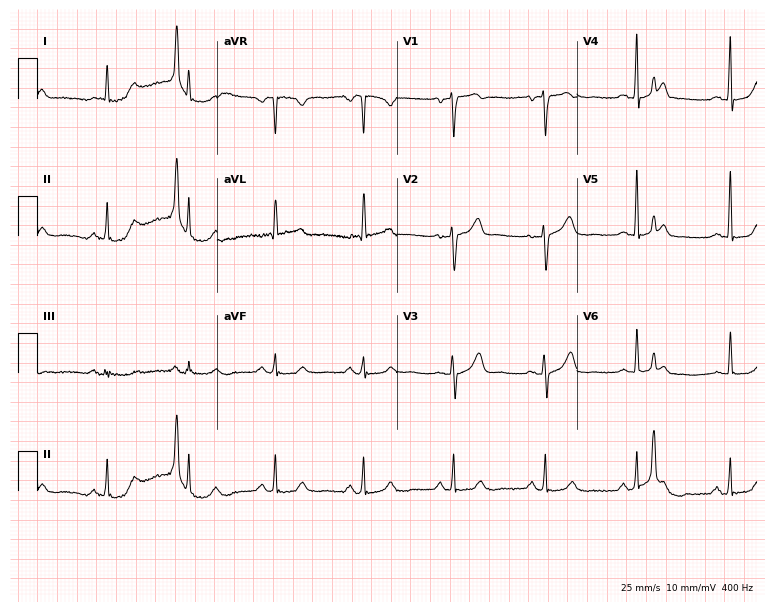
Resting 12-lead electrocardiogram (7.3-second recording at 400 Hz). Patient: a 65-year-old woman. Read as a normal ECG.